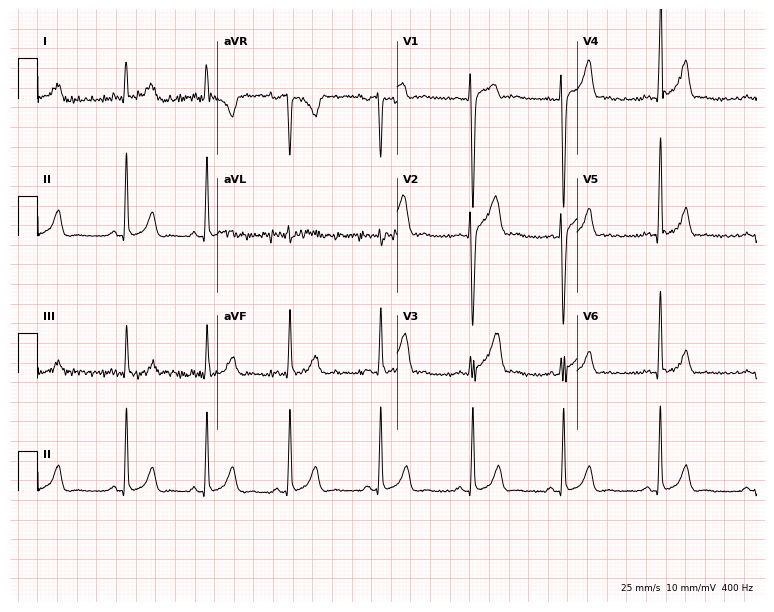
12-lead ECG from a male patient, 18 years old. Screened for six findings — first-degree AV block, right bundle branch block, left bundle branch block, sinus bradycardia, atrial fibrillation, sinus tachycardia — none is recorded.